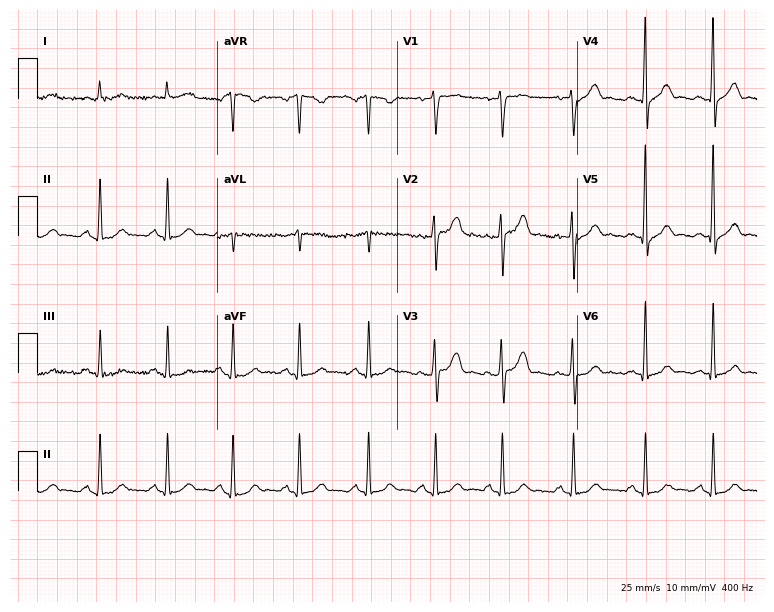
Electrocardiogram (7.3-second recording at 400 Hz), a man, 33 years old. Of the six screened findings (first-degree AV block, right bundle branch block, left bundle branch block, sinus bradycardia, atrial fibrillation, sinus tachycardia), none is recorded.